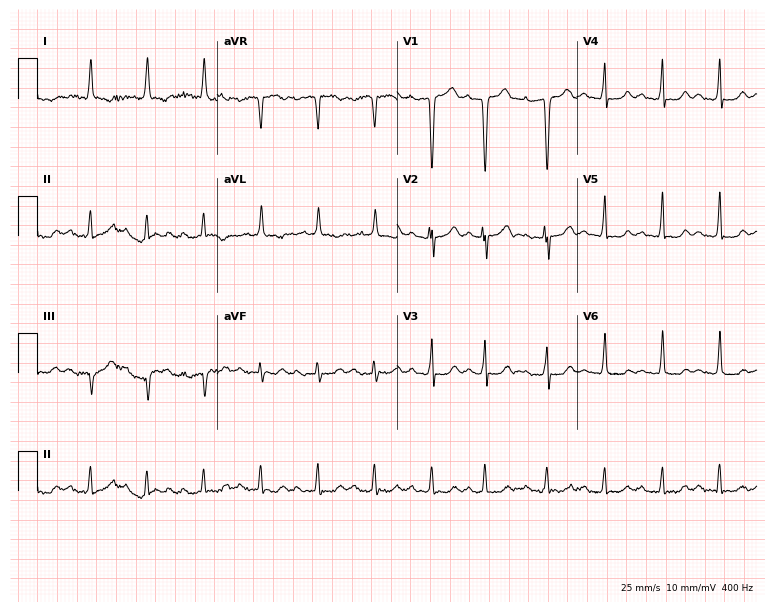
12-lead ECG from an 82-year-old male (7.3-second recording at 400 Hz). No first-degree AV block, right bundle branch block (RBBB), left bundle branch block (LBBB), sinus bradycardia, atrial fibrillation (AF) or sinus tachycardia recorded for this tracing. Findings outside these six are not listed.